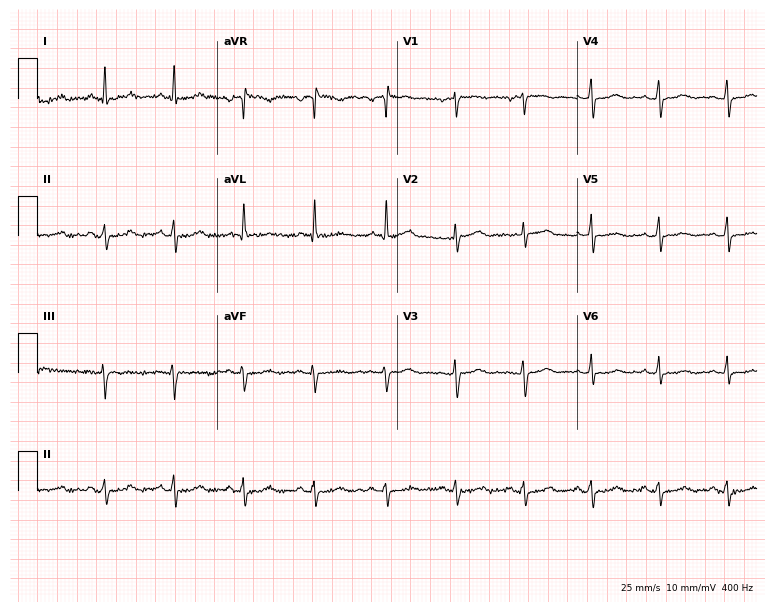
ECG (7.3-second recording at 400 Hz) — a 55-year-old female patient. Screened for six findings — first-degree AV block, right bundle branch block, left bundle branch block, sinus bradycardia, atrial fibrillation, sinus tachycardia — none is recorded. Only these six findings were labelled.